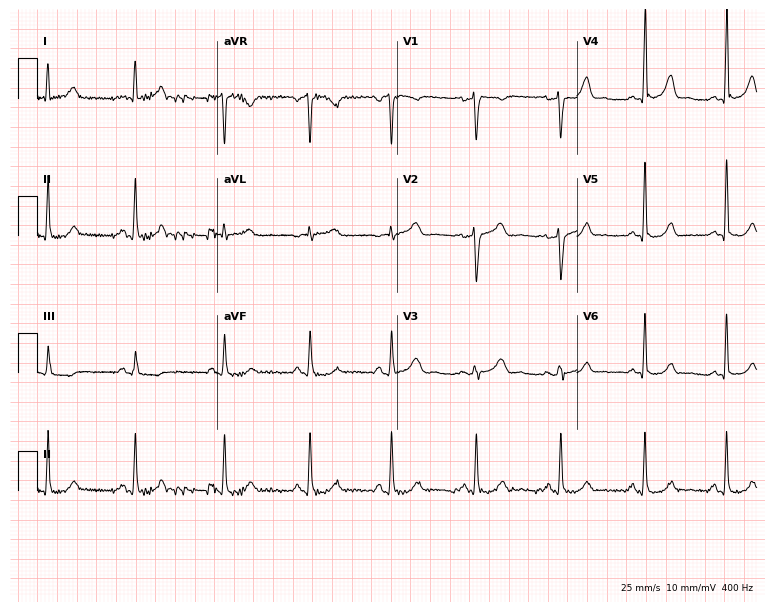
Resting 12-lead electrocardiogram (7.3-second recording at 400 Hz). Patient: a 38-year-old female. Read as a normal ECG.